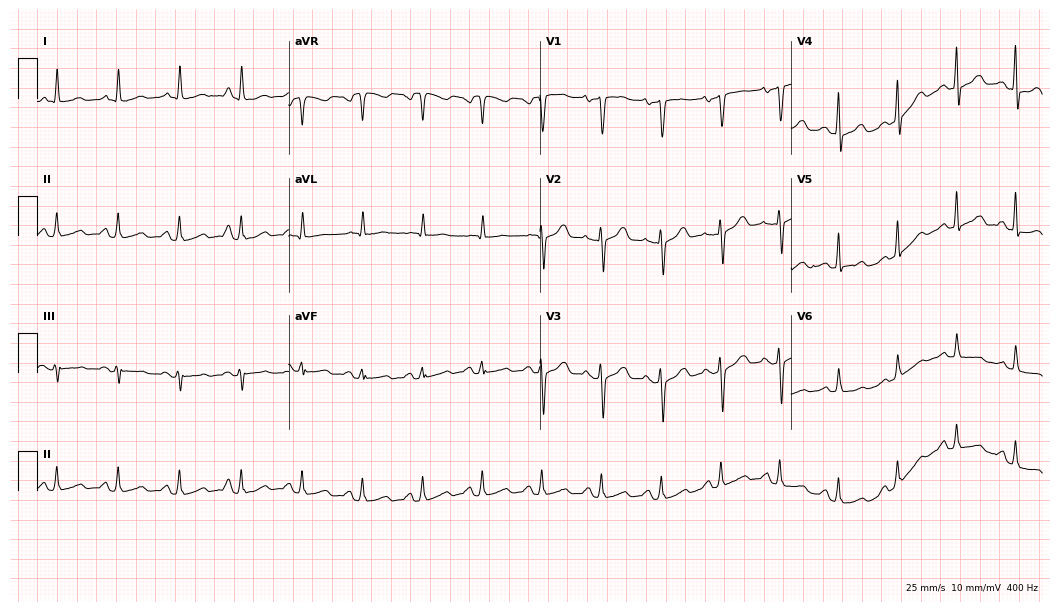
Electrocardiogram (10.2-second recording at 400 Hz), a female patient, 52 years old. Overall reading on record: normal ECG.